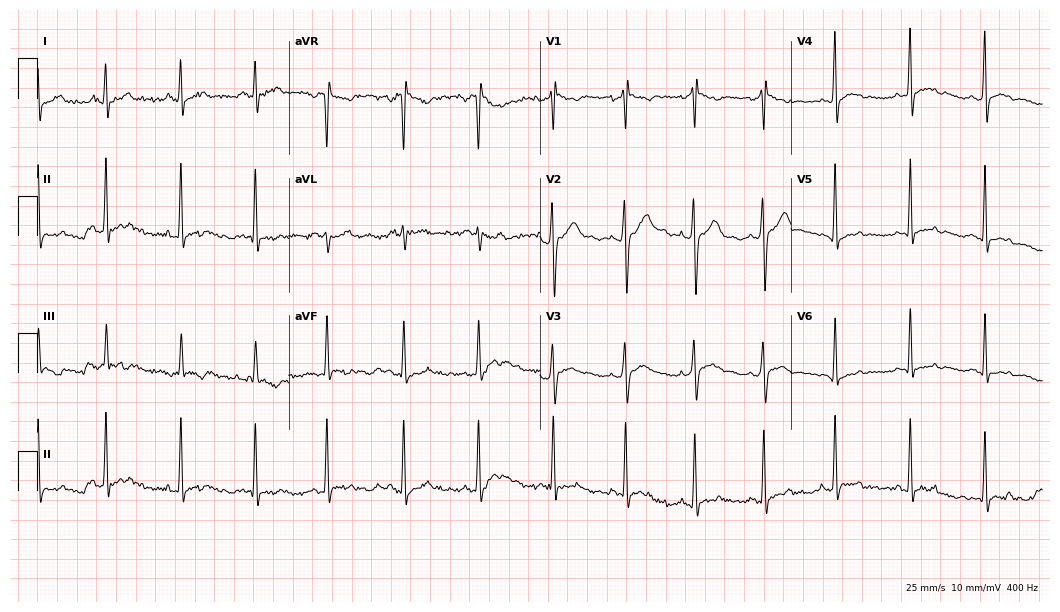
12-lead ECG from a man, 21 years old. No first-degree AV block, right bundle branch block, left bundle branch block, sinus bradycardia, atrial fibrillation or sinus tachycardia recorded for this tracing. Only these six findings were labelled.